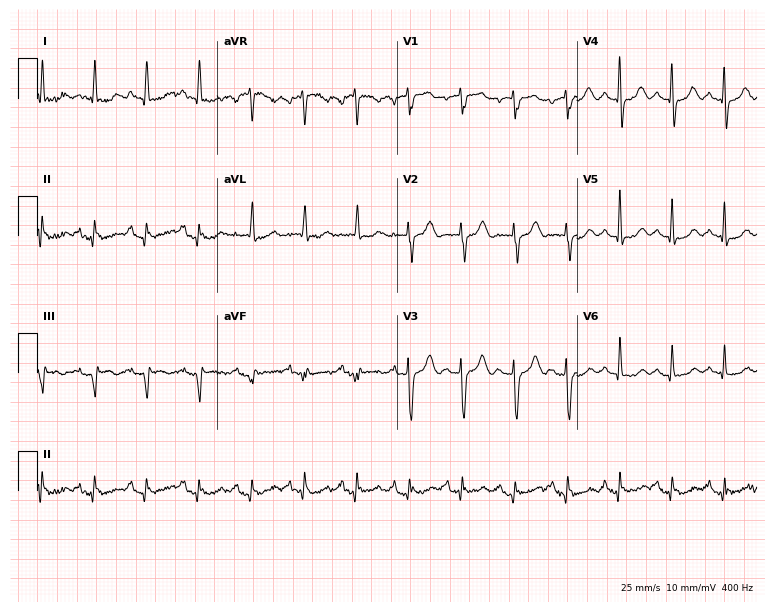
Standard 12-lead ECG recorded from a female patient, 82 years old. The tracing shows sinus tachycardia (a sinus rate of 100 beats per minute or more).